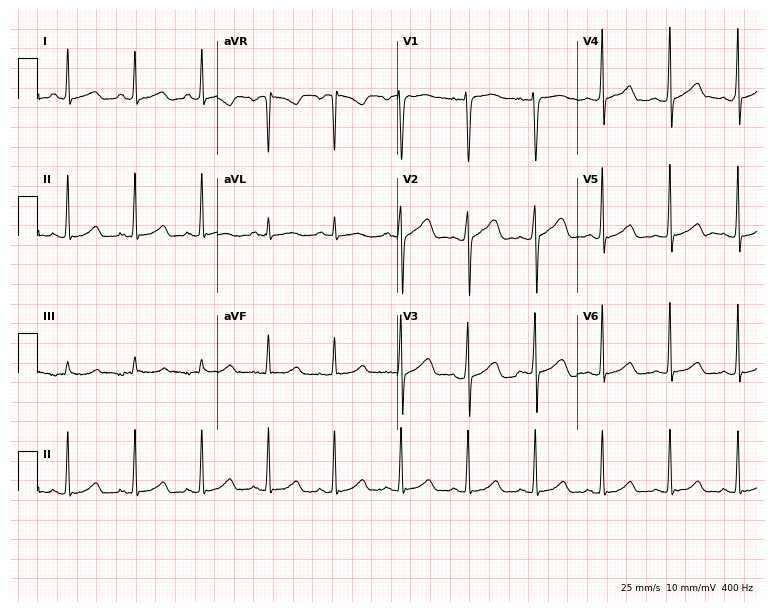
ECG — a female patient, 28 years old. Screened for six findings — first-degree AV block, right bundle branch block, left bundle branch block, sinus bradycardia, atrial fibrillation, sinus tachycardia — none is recorded.